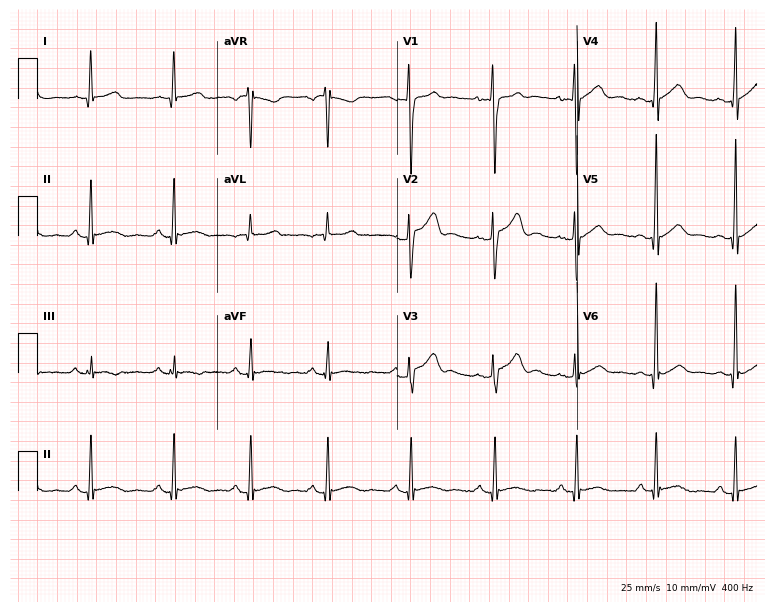
ECG — a man, 23 years old. Screened for six findings — first-degree AV block, right bundle branch block, left bundle branch block, sinus bradycardia, atrial fibrillation, sinus tachycardia — none is recorded.